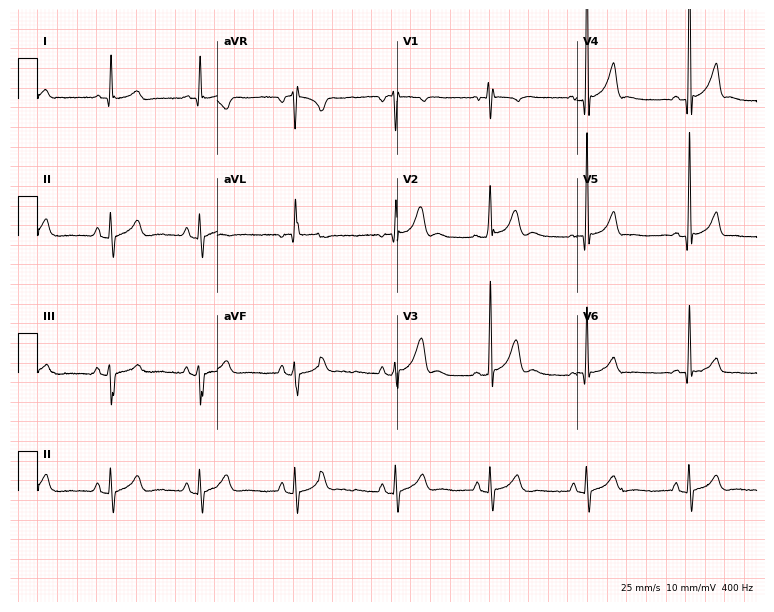
12-lead ECG from a 17-year-old male patient (7.3-second recording at 400 Hz). Recorded interpretation: within normal limits.